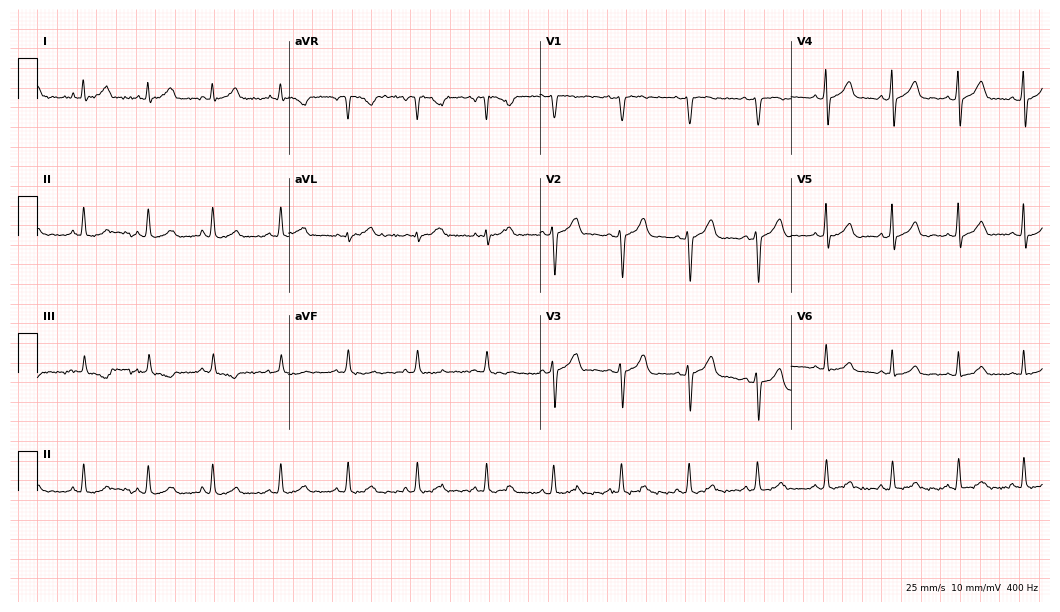
Resting 12-lead electrocardiogram (10.2-second recording at 400 Hz). Patient: a 36-year-old female. Read as a normal ECG.